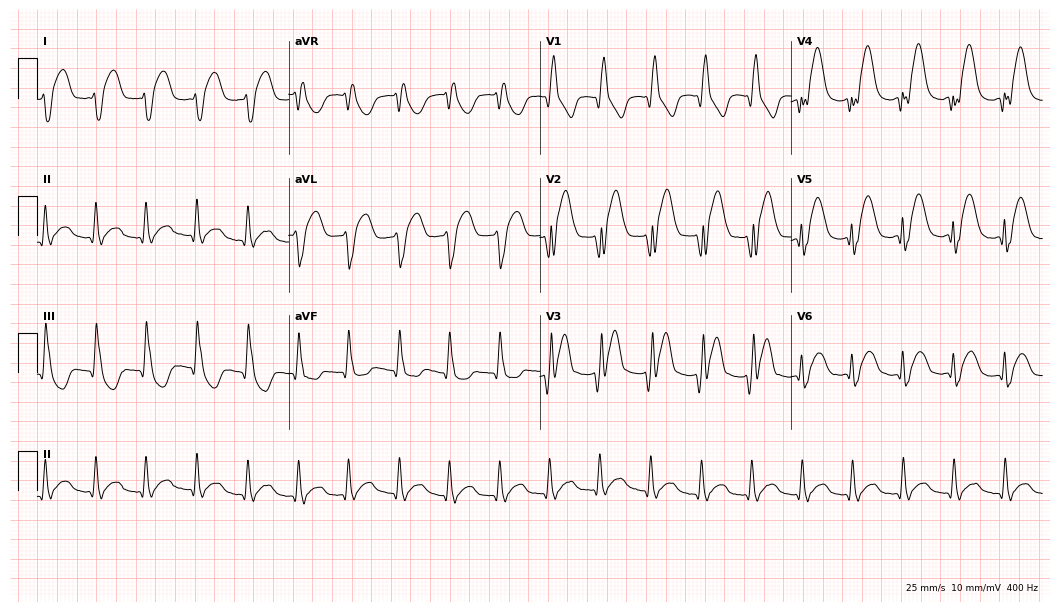
ECG (10.2-second recording at 400 Hz) — a 43-year-old male patient. Screened for six findings — first-degree AV block, right bundle branch block, left bundle branch block, sinus bradycardia, atrial fibrillation, sinus tachycardia — none is recorded.